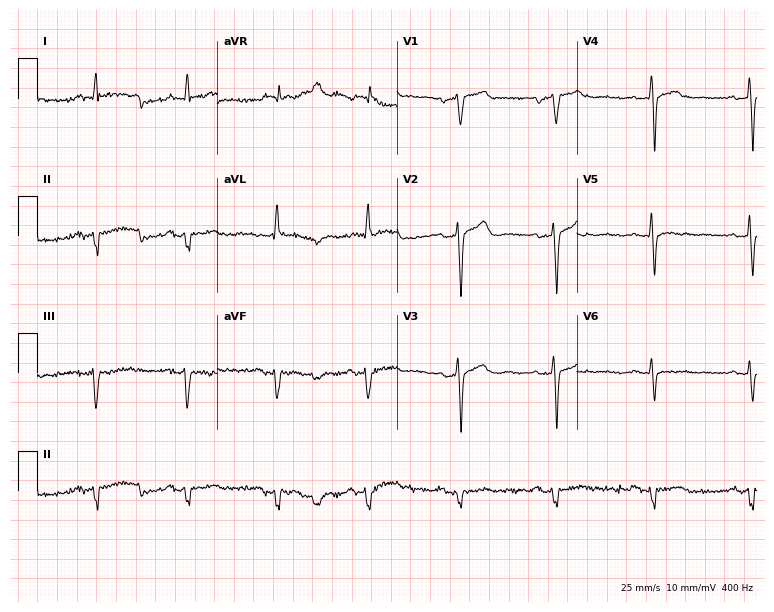
12-lead ECG (7.3-second recording at 400 Hz) from a male, 71 years old. Screened for six findings — first-degree AV block, right bundle branch block, left bundle branch block, sinus bradycardia, atrial fibrillation, sinus tachycardia — none is recorded.